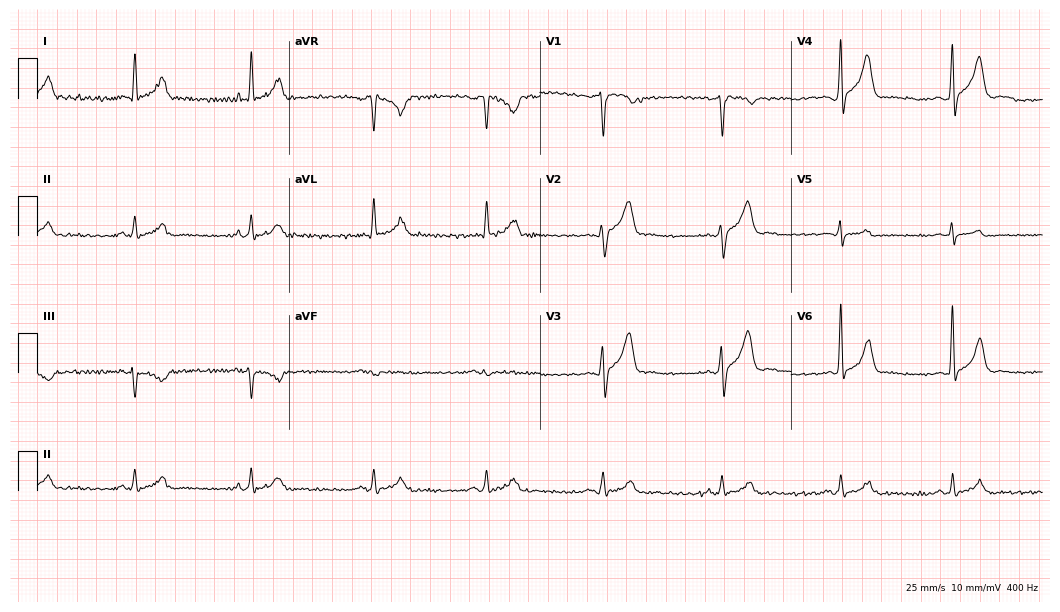
ECG (10.2-second recording at 400 Hz) — a 47-year-old male patient. Screened for six findings — first-degree AV block, right bundle branch block, left bundle branch block, sinus bradycardia, atrial fibrillation, sinus tachycardia — none is recorded. Other findings, if any, are not listed.